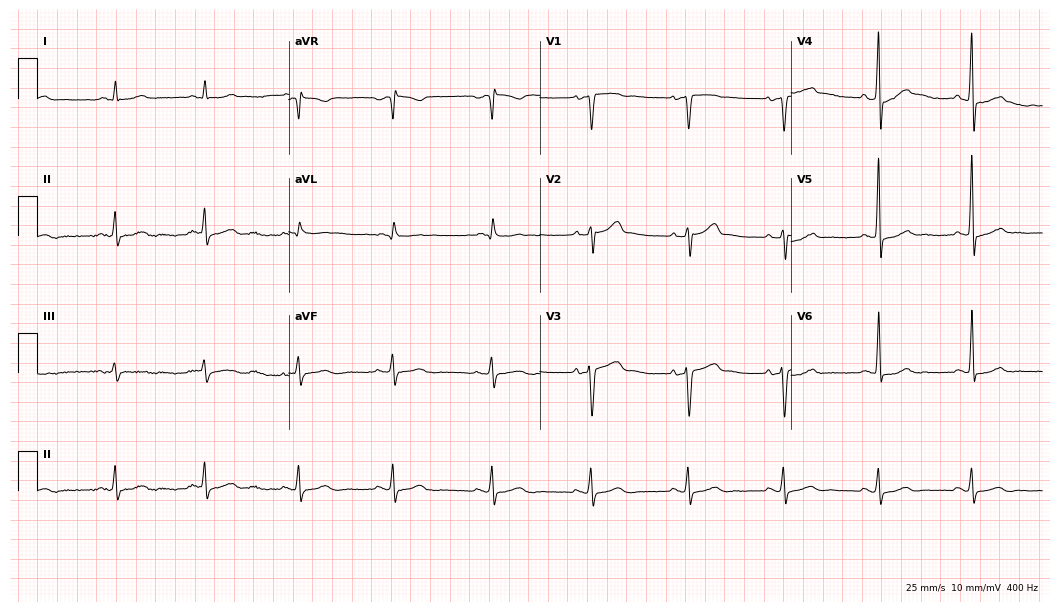
12-lead ECG from a man, 60 years old (10.2-second recording at 400 Hz). Recorded interpretation: within normal limits.